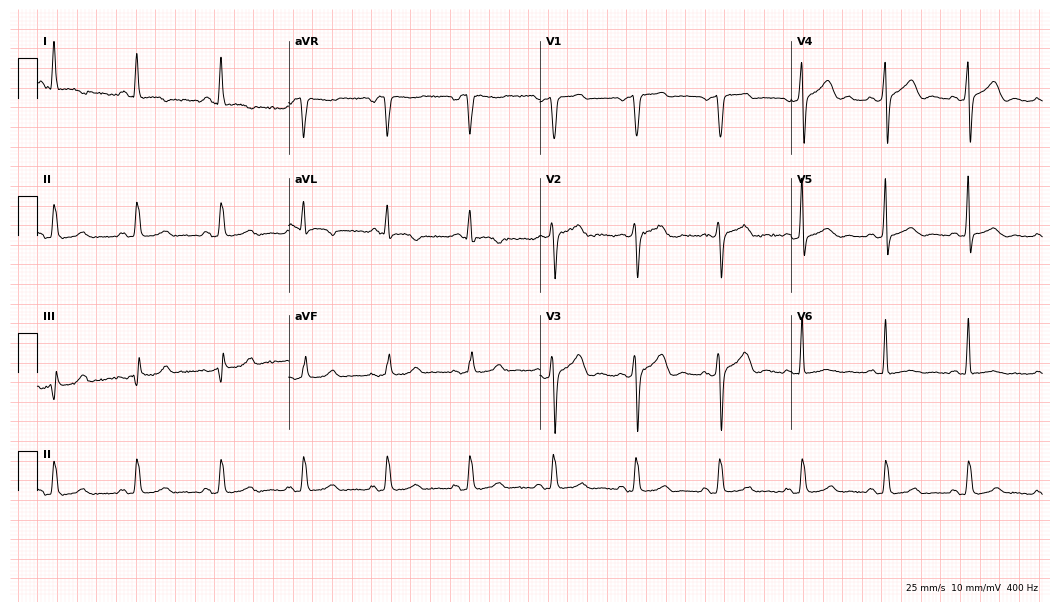
Electrocardiogram, a 55-year-old male patient. Of the six screened findings (first-degree AV block, right bundle branch block, left bundle branch block, sinus bradycardia, atrial fibrillation, sinus tachycardia), none is recorded.